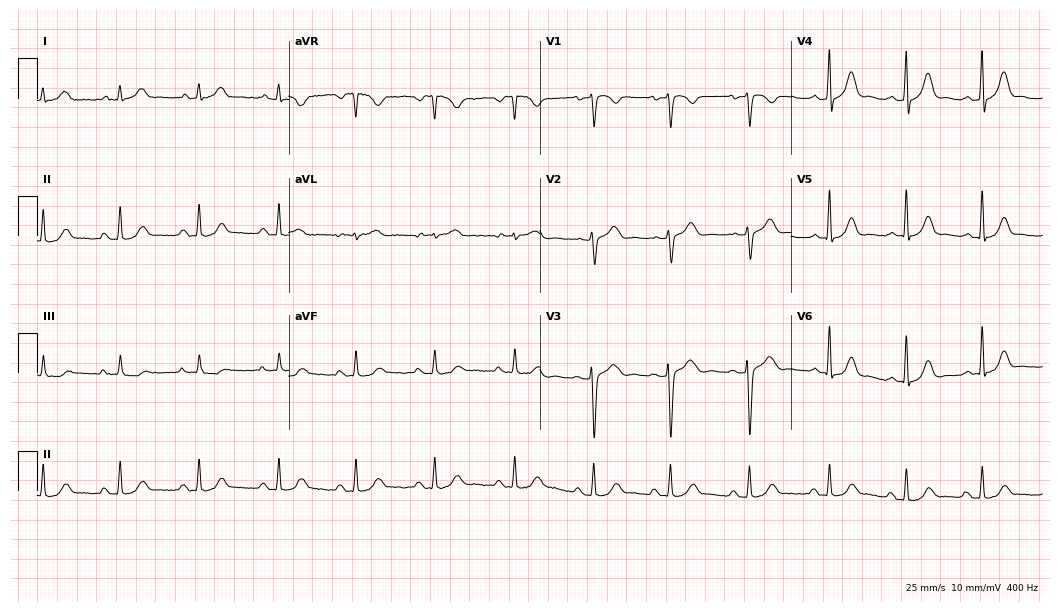
Resting 12-lead electrocardiogram (10.2-second recording at 400 Hz). Patient: a female, 36 years old. Read as a normal ECG.